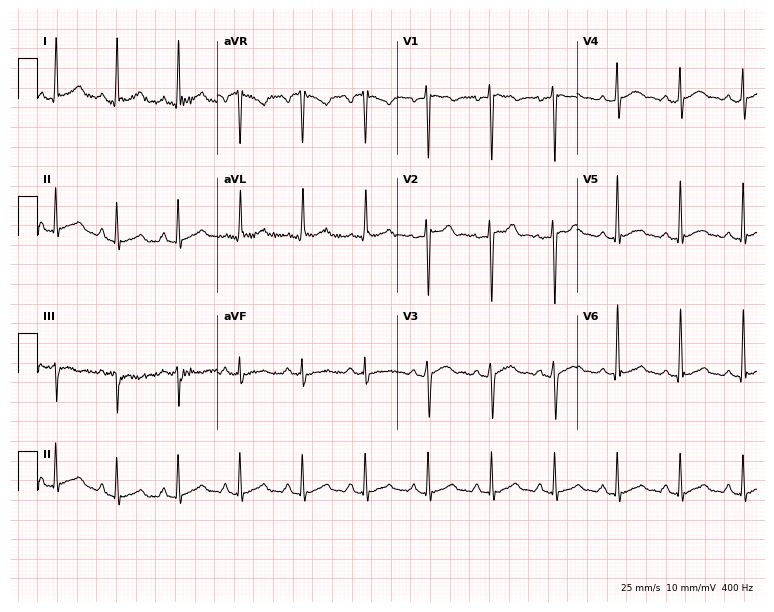
Electrocardiogram (7.3-second recording at 400 Hz), a male, 18 years old. Overall reading on record: normal ECG.